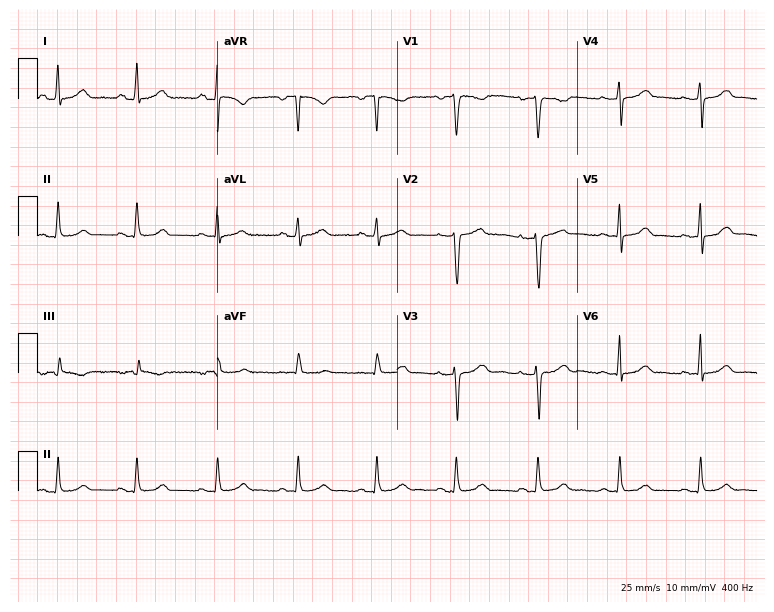
ECG (7.3-second recording at 400 Hz) — a female patient, 37 years old. Labelled as a normal ECG.